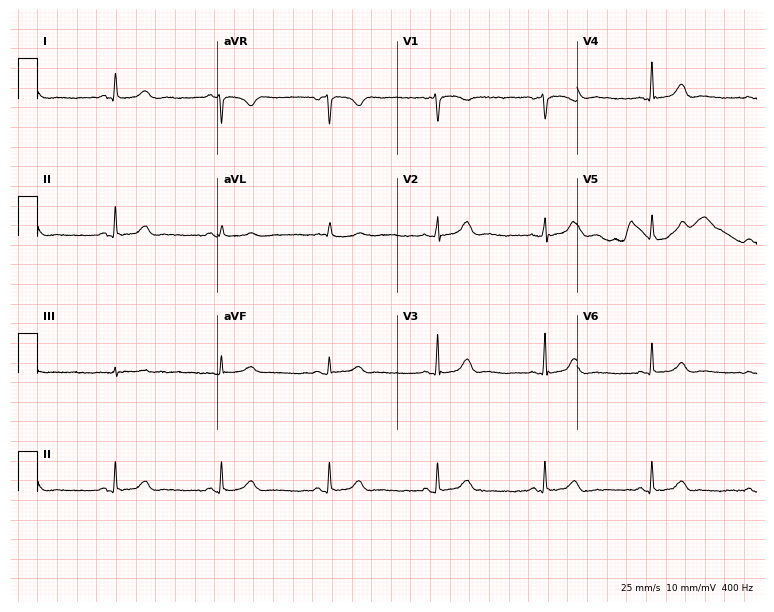
Standard 12-lead ECG recorded from a 46-year-old female. Read as a normal ECG.